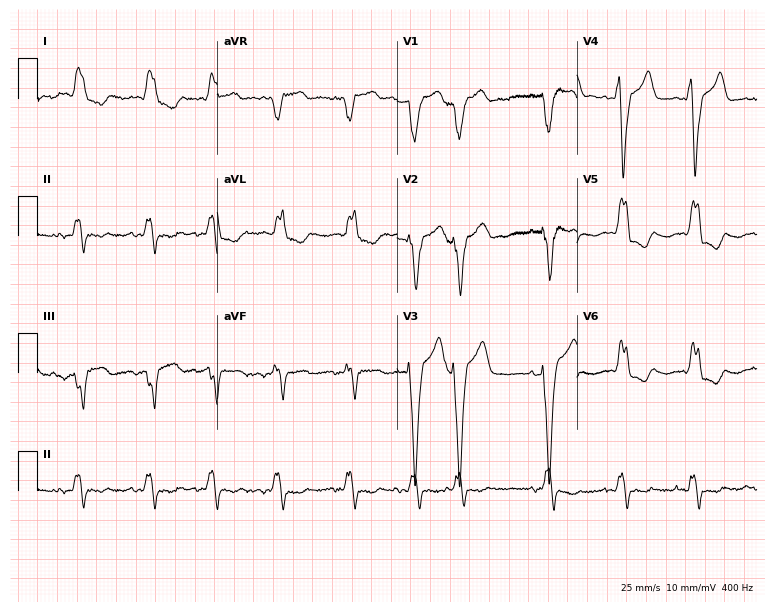
Electrocardiogram, a female patient, 77 years old. Interpretation includes left bundle branch block.